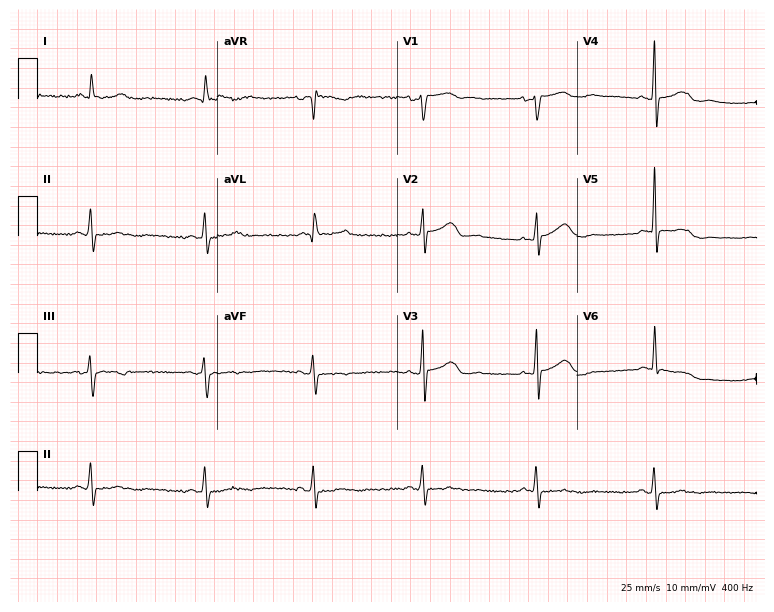
Standard 12-lead ECG recorded from a male, 74 years old (7.3-second recording at 400 Hz). None of these six findings is recorded: first-degree AV block, right bundle branch block, left bundle branch block, sinus bradycardia, atrial fibrillation, sinus tachycardia.